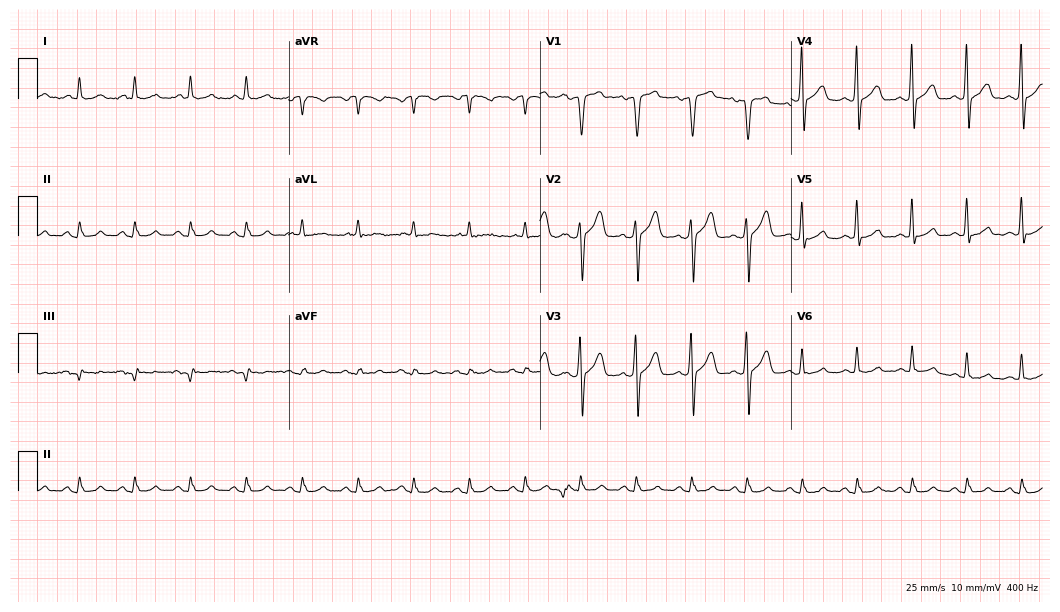
12-lead ECG from a man, 48 years old. Shows sinus tachycardia (a sinus rate of 100 beats per minute or more).